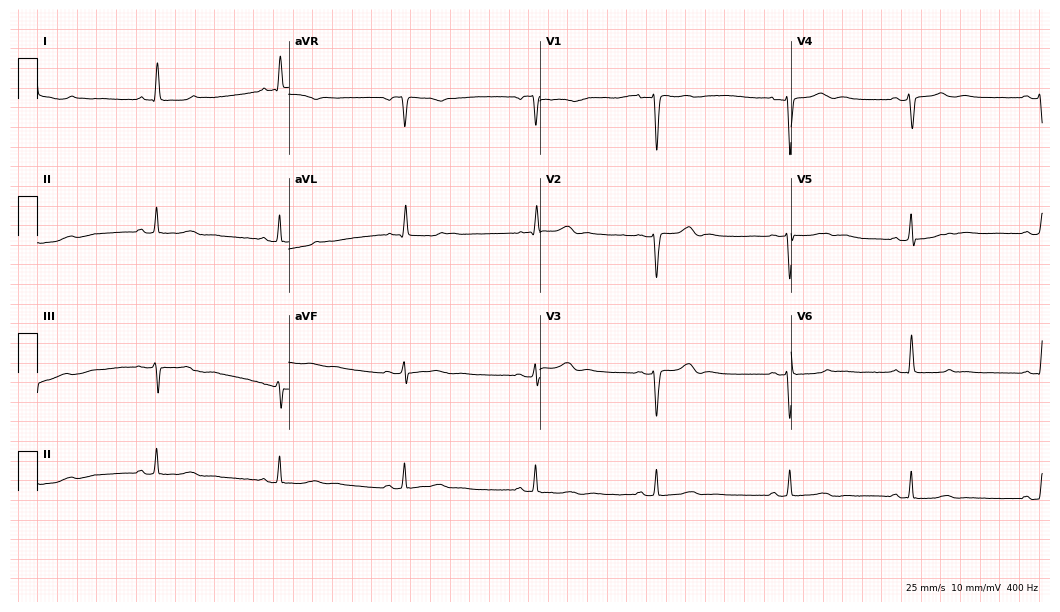
Electrocardiogram, a female patient, 48 years old. Of the six screened findings (first-degree AV block, right bundle branch block (RBBB), left bundle branch block (LBBB), sinus bradycardia, atrial fibrillation (AF), sinus tachycardia), none is recorded.